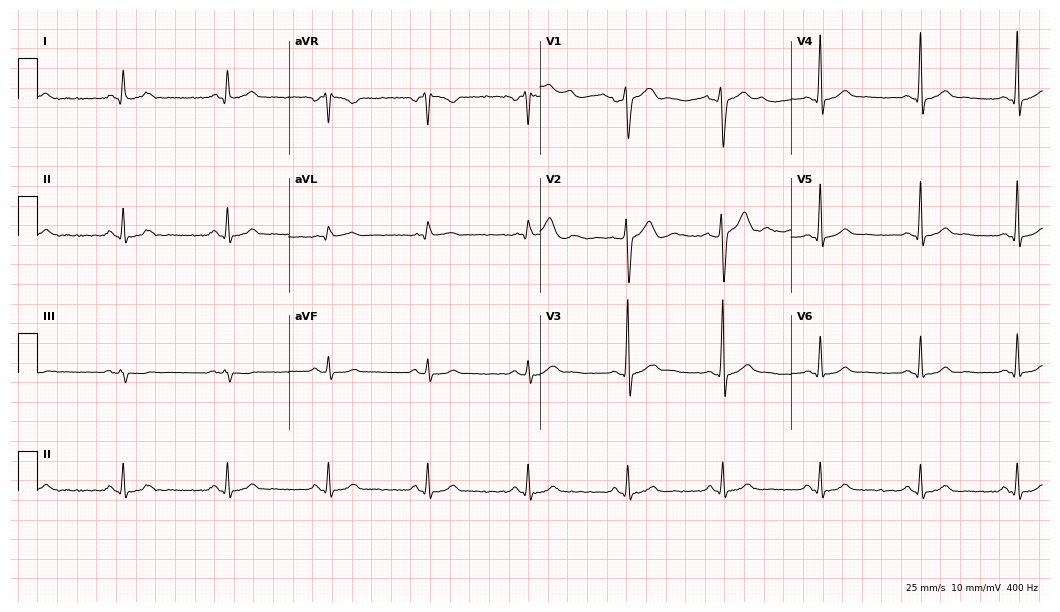
12-lead ECG from a 35-year-old male patient (10.2-second recording at 400 Hz). No first-degree AV block, right bundle branch block, left bundle branch block, sinus bradycardia, atrial fibrillation or sinus tachycardia recorded for this tracing.